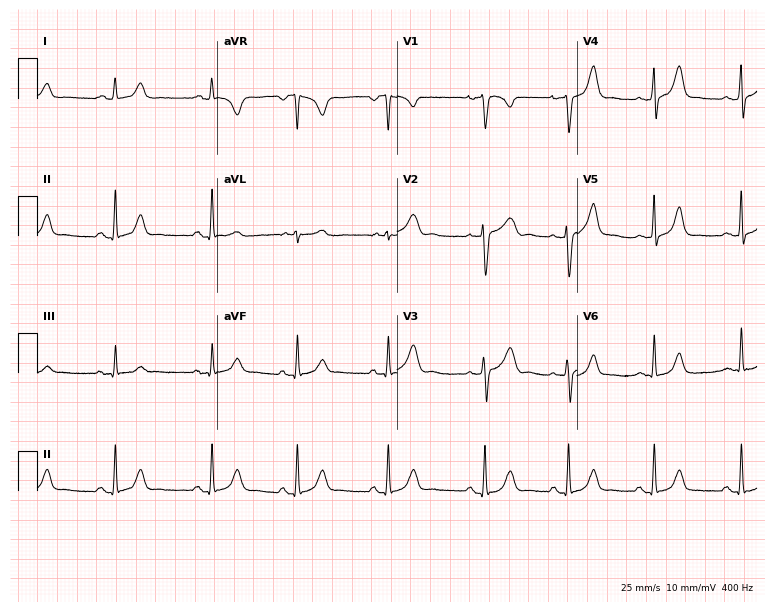
Electrocardiogram (7.3-second recording at 400 Hz), a 26-year-old female patient. Overall reading on record: normal ECG.